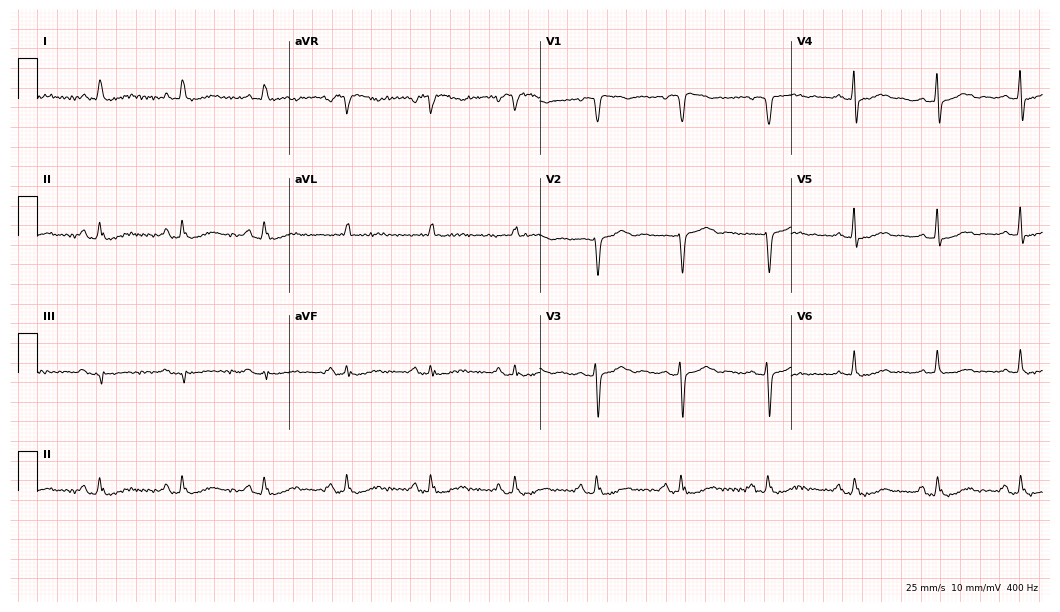
Resting 12-lead electrocardiogram. Patient: a 70-year-old female. None of these six findings is recorded: first-degree AV block, right bundle branch block, left bundle branch block, sinus bradycardia, atrial fibrillation, sinus tachycardia. Only these six findings were labelled.